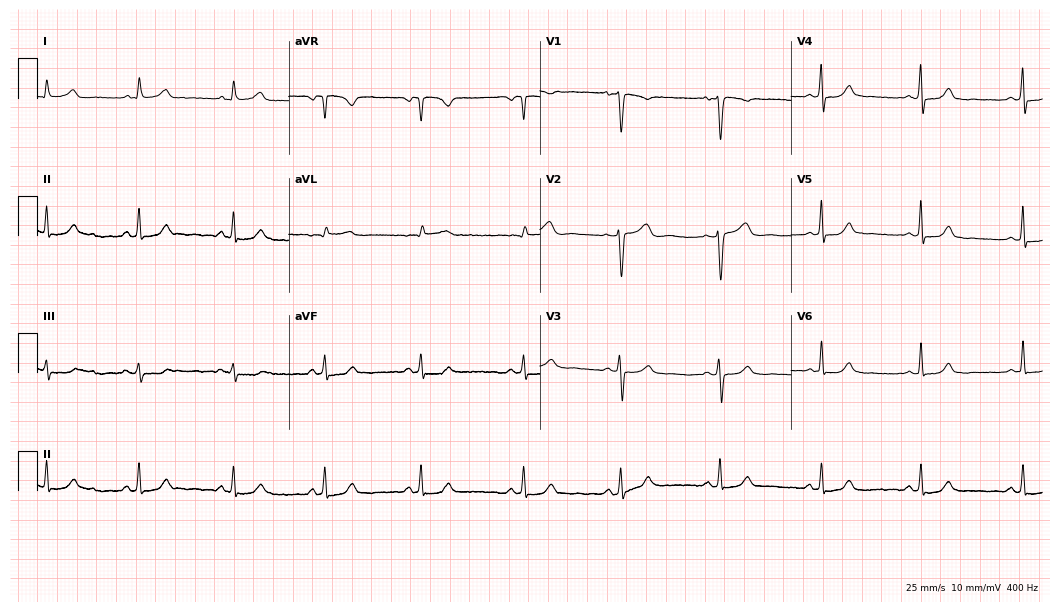
Standard 12-lead ECG recorded from a male patient, 44 years old. Read as a normal ECG.